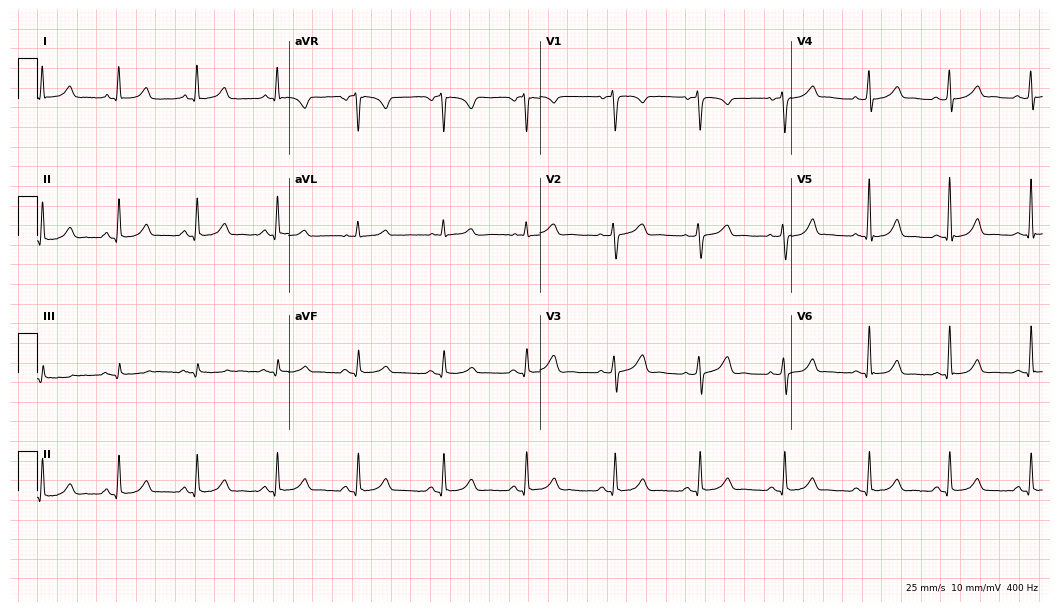
Electrocardiogram (10.2-second recording at 400 Hz), a 43-year-old female patient. Of the six screened findings (first-degree AV block, right bundle branch block, left bundle branch block, sinus bradycardia, atrial fibrillation, sinus tachycardia), none is recorded.